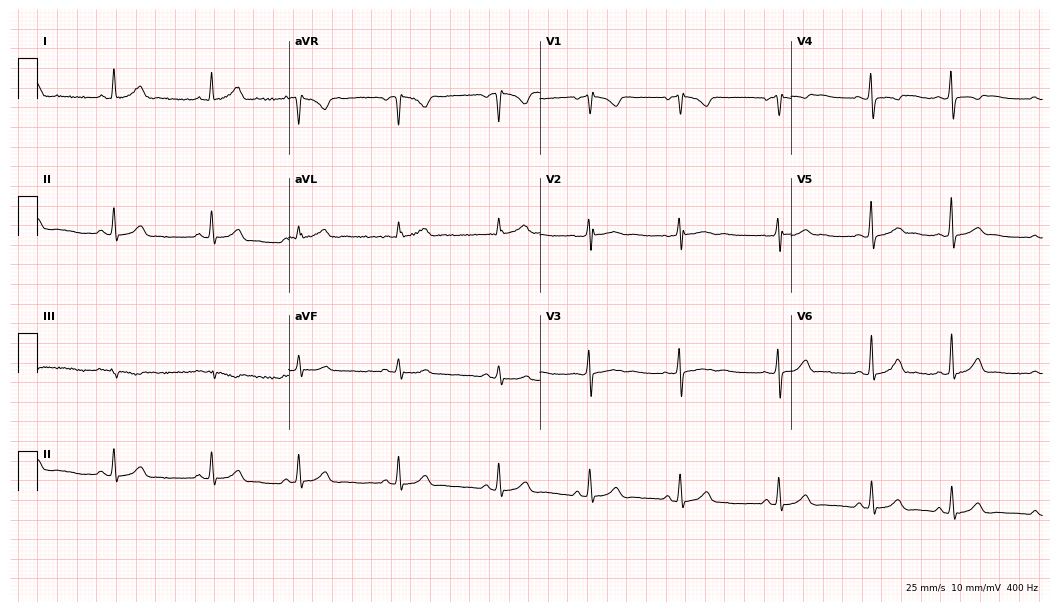
Standard 12-lead ECG recorded from a 20-year-old woman. Read as a normal ECG.